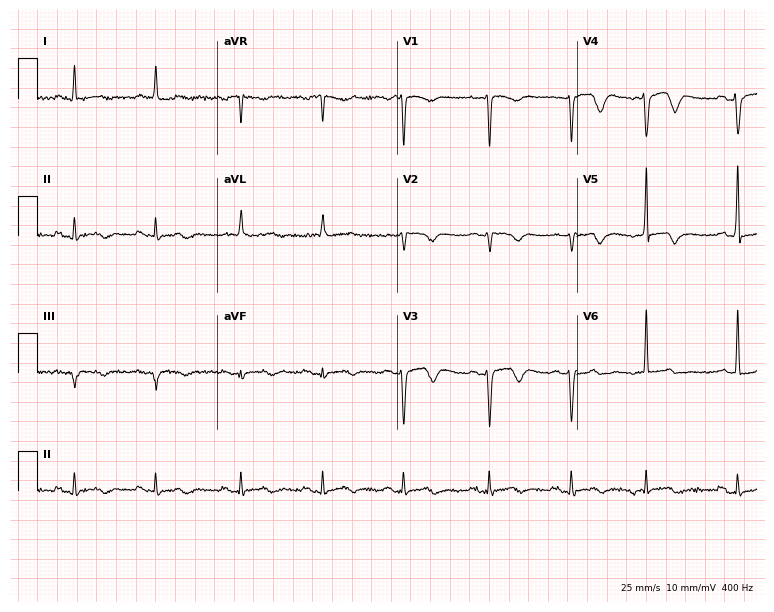
Resting 12-lead electrocardiogram. Patient: a 78-year-old female. None of these six findings is recorded: first-degree AV block, right bundle branch block, left bundle branch block, sinus bradycardia, atrial fibrillation, sinus tachycardia. Other findings, if any, are not listed.